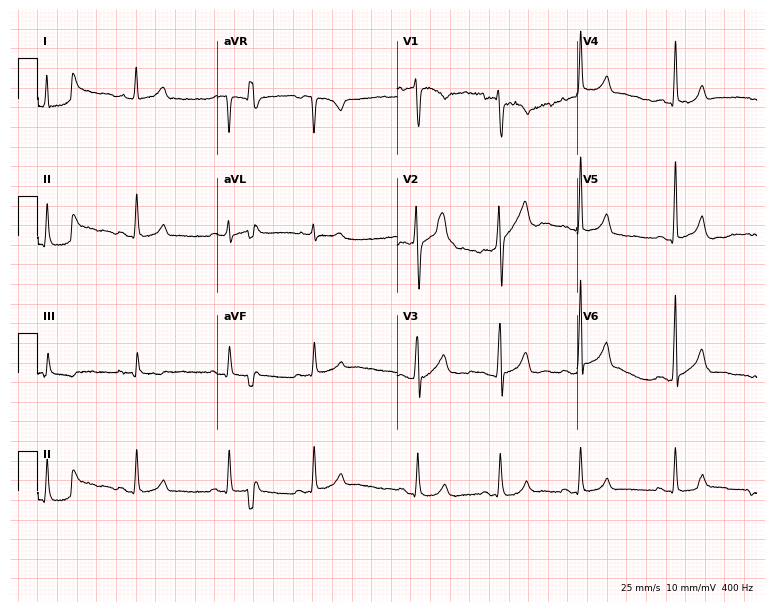
12-lead ECG from a male, 27 years old. Labelled as a normal ECG.